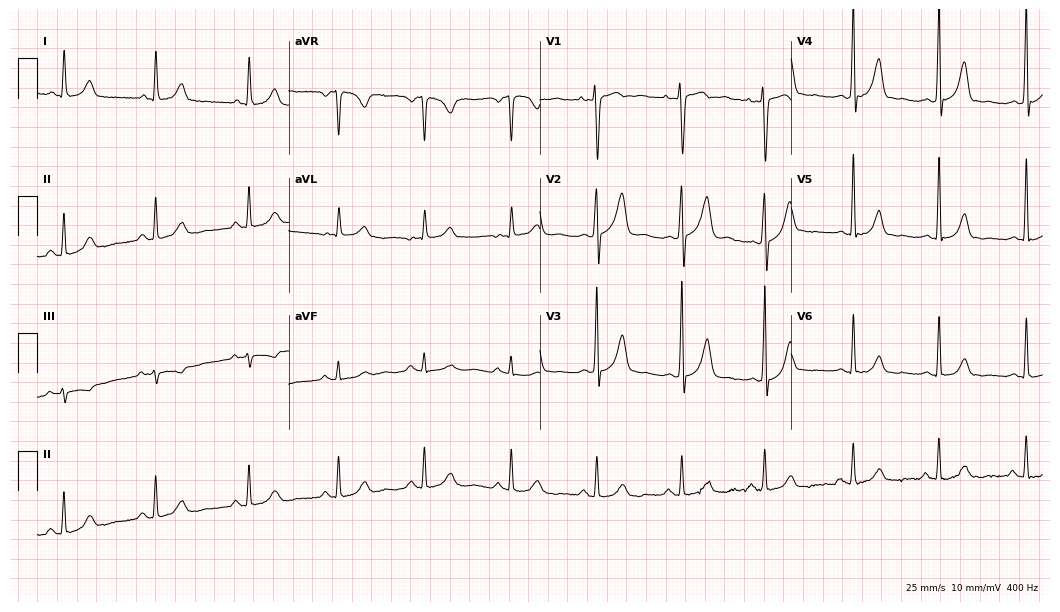
ECG (10.2-second recording at 400 Hz) — a female patient, 45 years old. Labelled as a normal ECG.